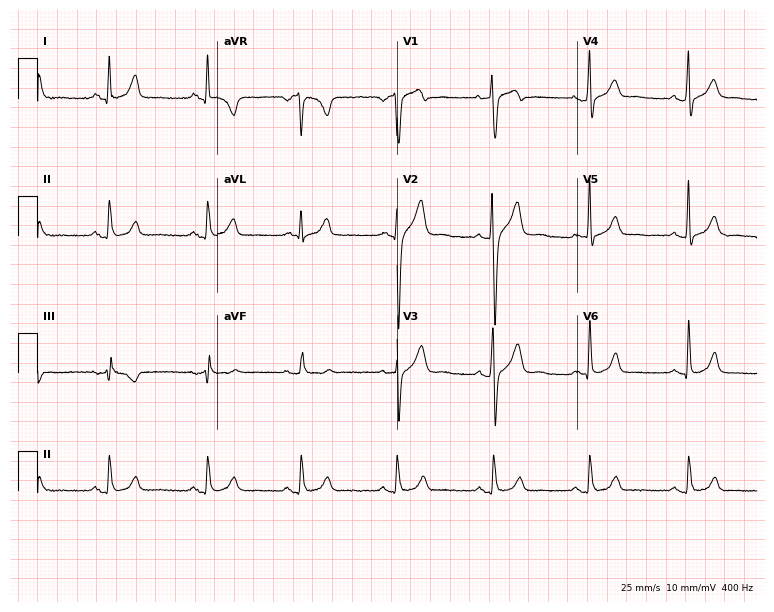
Resting 12-lead electrocardiogram. Patient: a male, 43 years old. None of these six findings is recorded: first-degree AV block, right bundle branch block, left bundle branch block, sinus bradycardia, atrial fibrillation, sinus tachycardia.